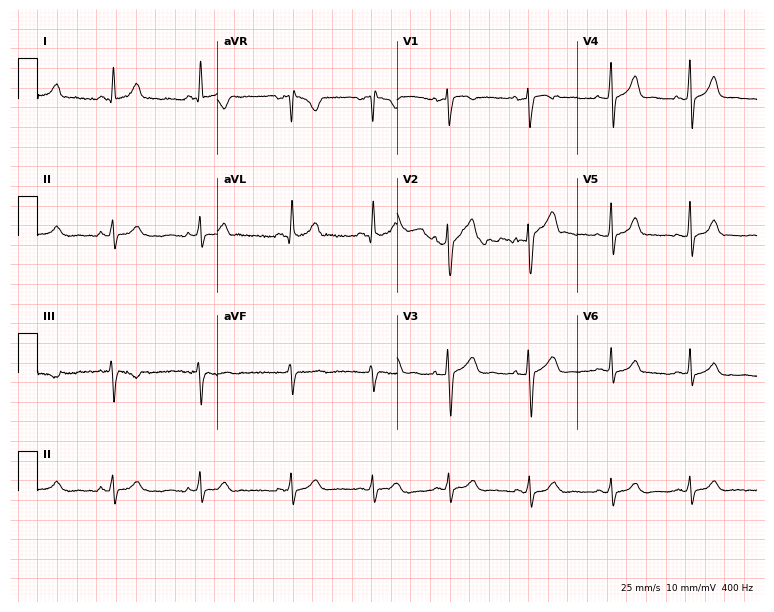
Standard 12-lead ECG recorded from a 38-year-old female patient (7.3-second recording at 400 Hz). None of these six findings is recorded: first-degree AV block, right bundle branch block, left bundle branch block, sinus bradycardia, atrial fibrillation, sinus tachycardia. Findings outside these six are not listed.